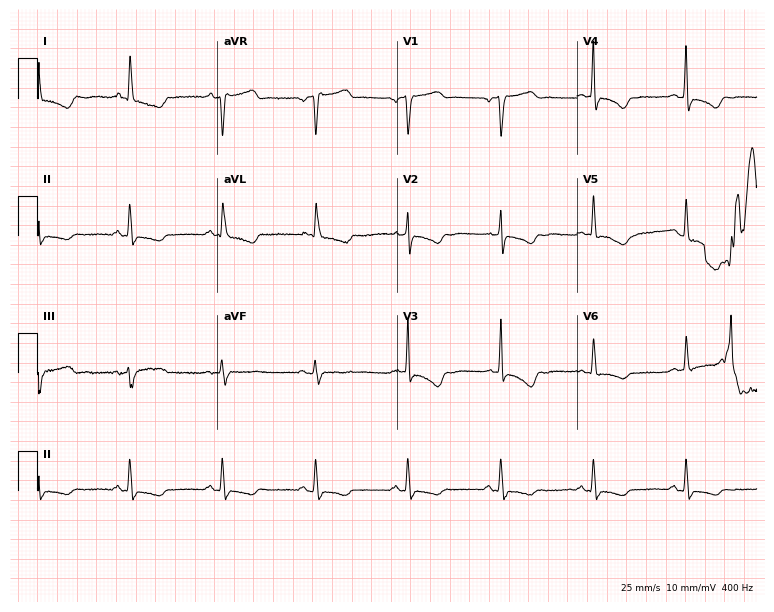
ECG (7.3-second recording at 400 Hz) — a woman, 68 years old. Screened for six findings — first-degree AV block, right bundle branch block, left bundle branch block, sinus bradycardia, atrial fibrillation, sinus tachycardia — none is recorded.